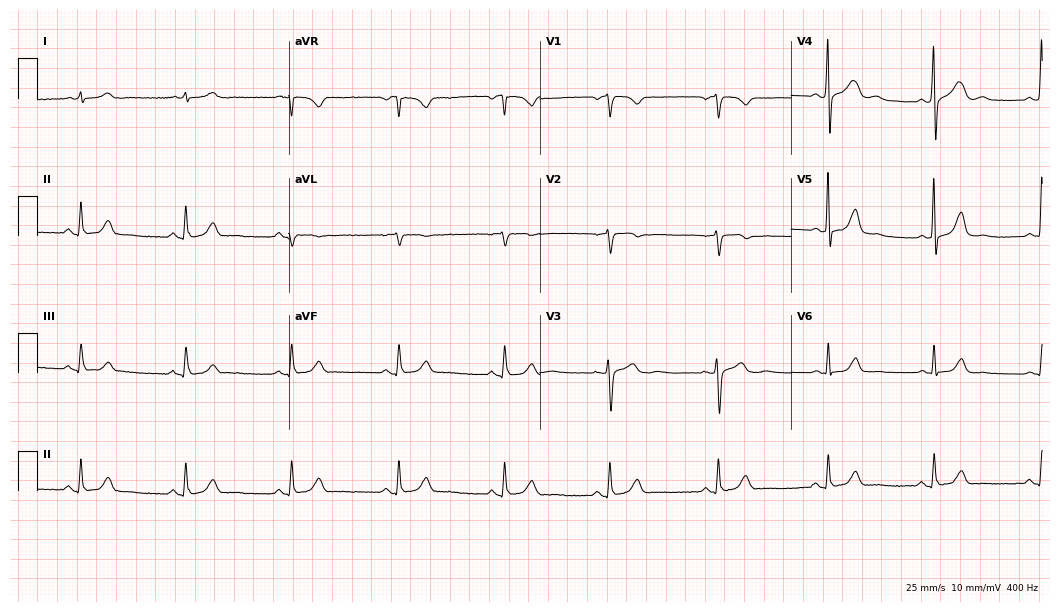
ECG — a female, 47 years old. Screened for six findings — first-degree AV block, right bundle branch block, left bundle branch block, sinus bradycardia, atrial fibrillation, sinus tachycardia — none is recorded.